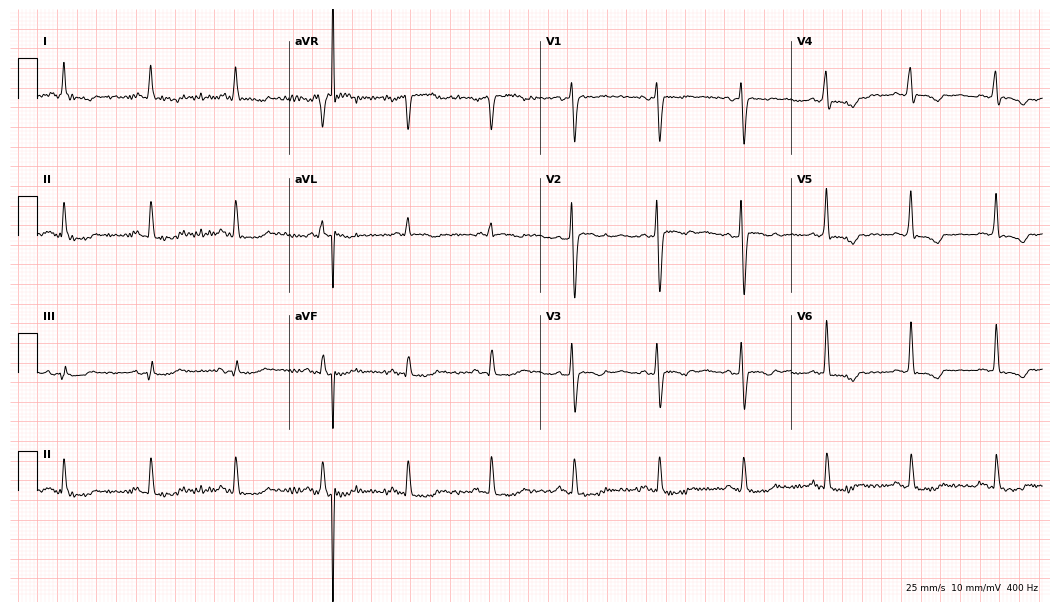
Standard 12-lead ECG recorded from a 59-year-old man. None of these six findings is recorded: first-degree AV block, right bundle branch block, left bundle branch block, sinus bradycardia, atrial fibrillation, sinus tachycardia. Only these six findings were labelled.